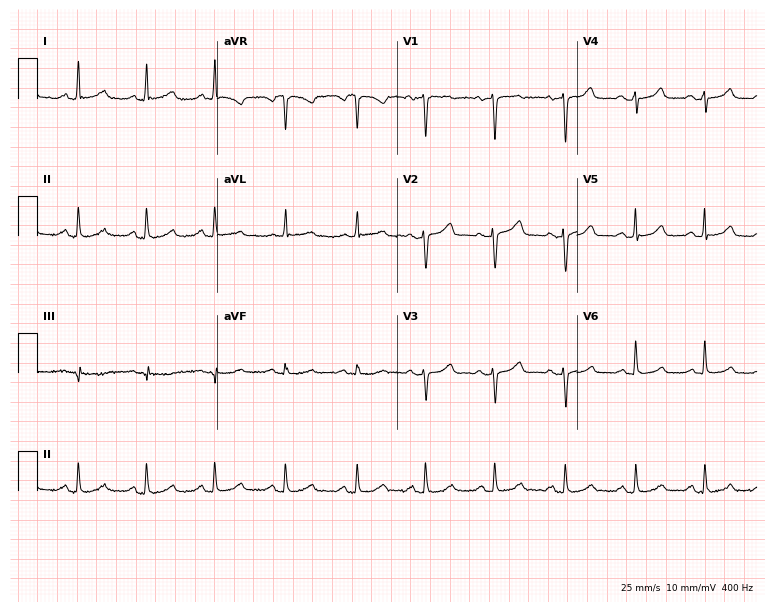
Electrocardiogram, a 60-year-old woman. Overall reading on record: normal ECG.